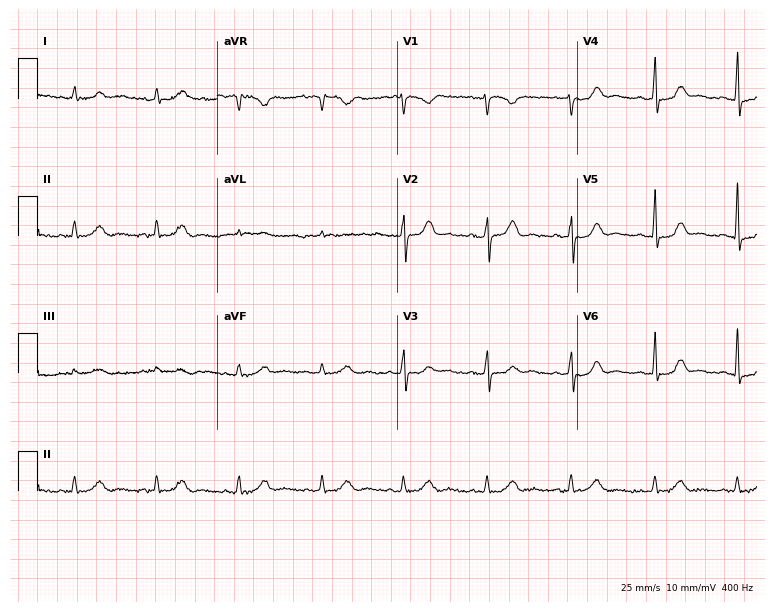
Resting 12-lead electrocardiogram. Patient: a female, 47 years old. None of these six findings is recorded: first-degree AV block, right bundle branch block, left bundle branch block, sinus bradycardia, atrial fibrillation, sinus tachycardia. Findings outside these six are not listed.